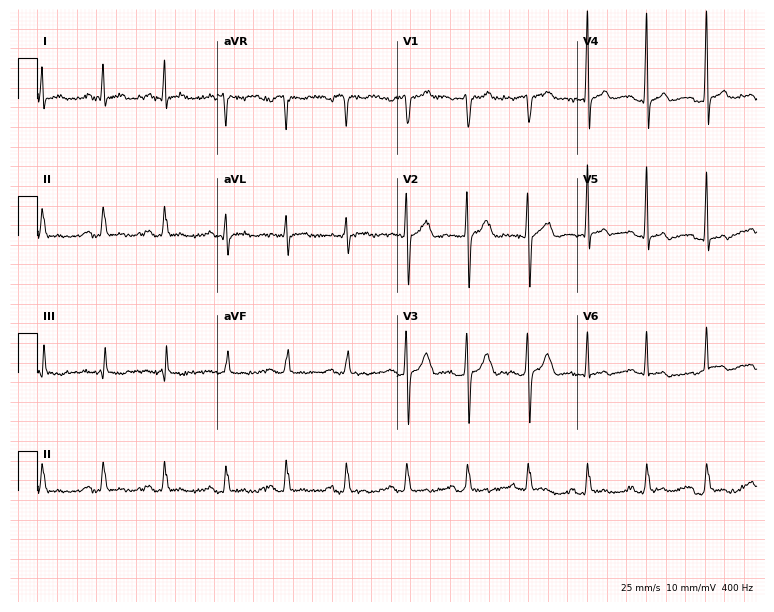
12-lead ECG from a 42-year-old male patient. No first-degree AV block, right bundle branch block, left bundle branch block, sinus bradycardia, atrial fibrillation or sinus tachycardia recorded for this tracing. Other findings, if any, are not listed.